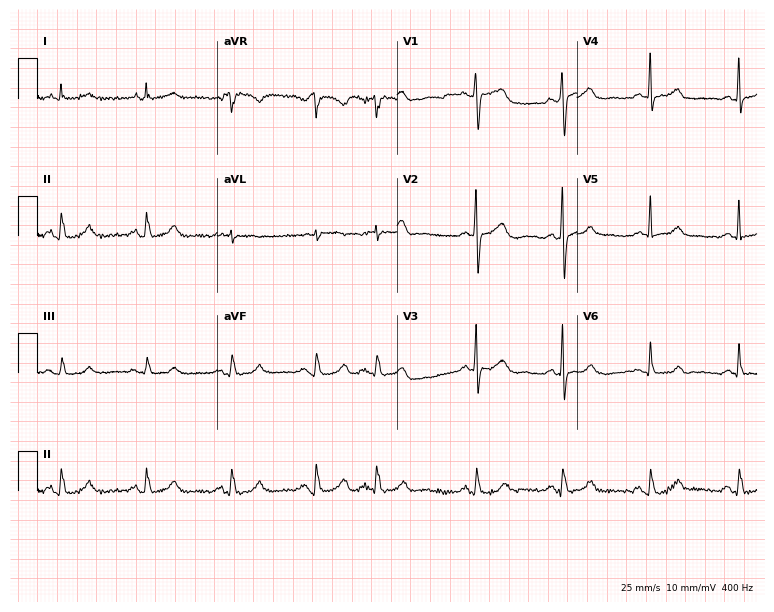
12-lead ECG from a 46-year-old woman (7.3-second recording at 400 Hz). Recorded interpretation: within normal limits.